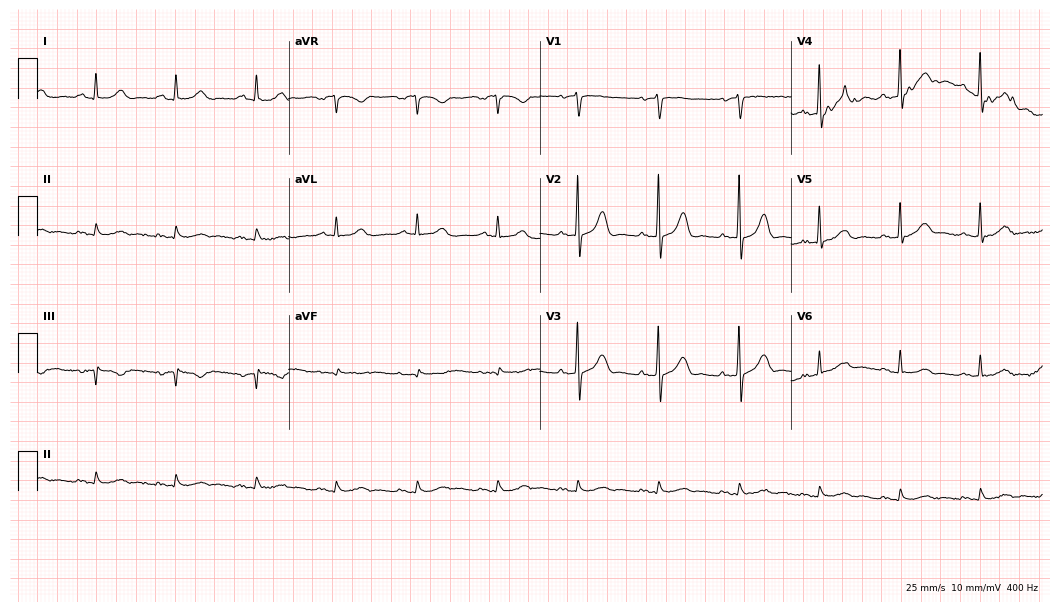
Standard 12-lead ECG recorded from an 82-year-old male. Read as a normal ECG.